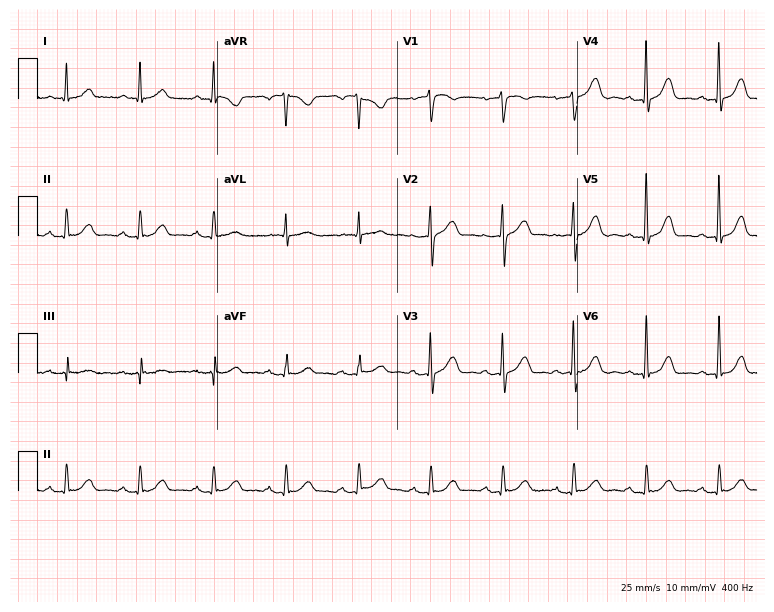
12-lead ECG from a female patient, 58 years old (7.3-second recording at 400 Hz). Recorded interpretation: within normal limits.